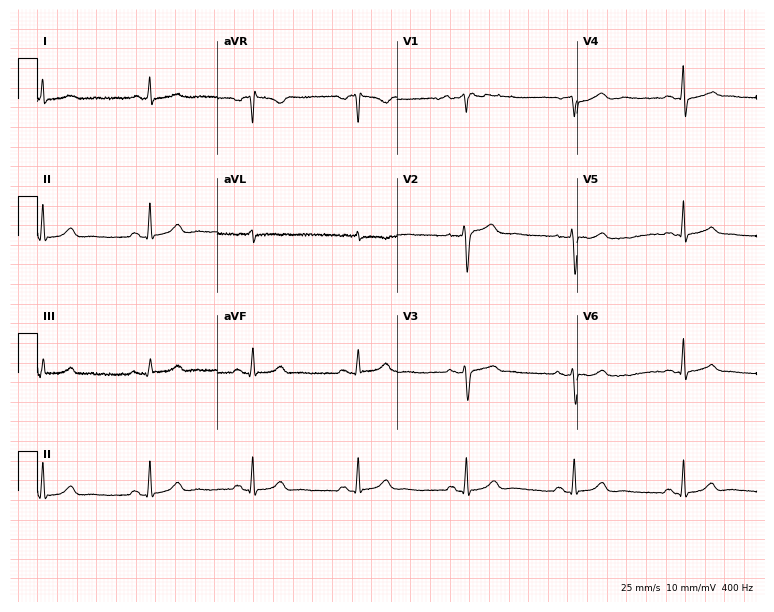
12-lead ECG from a male patient, 44 years old (7.3-second recording at 400 Hz). No first-degree AV block, right bundle branch block, left bundle branch block, sinus bradycardia, atrial fibrillation or sinus tachycardia recorded for this tracing. Findings outside these six are not listed.